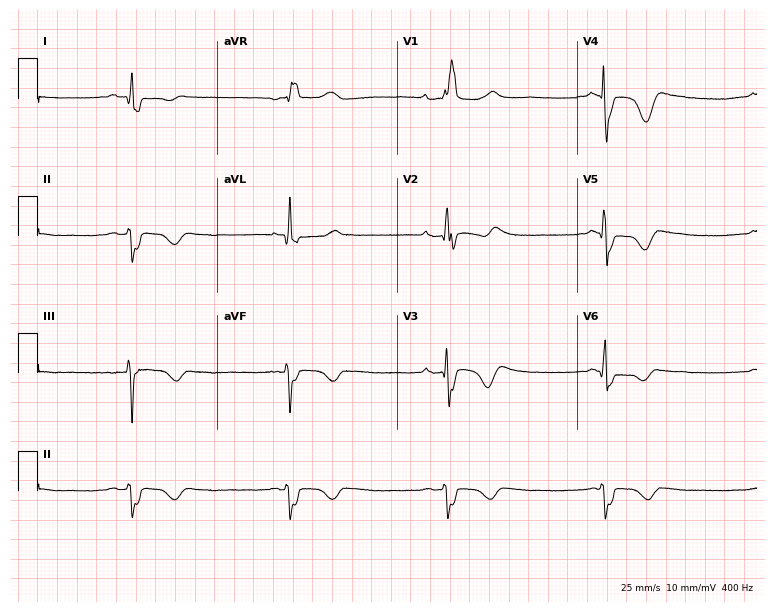
Standard 12-lead ECG recorded from a 37-year-old male patient. None of these six findings is recorded: first-degree AV block, right bundle branch block (RBBB), left bundle branch block (LBBB), sinus bradycardia, atrial fibrillation (AF), sinus tachycardia. Other findings, if any, are not listed.